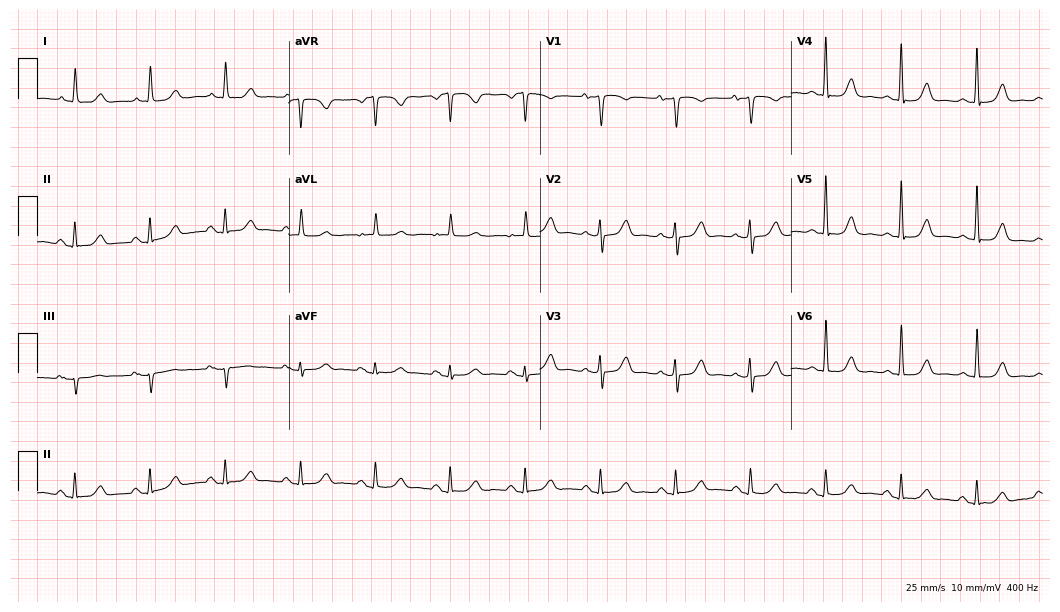
ECG (10.2-second recording at 400 Hz) — a 78-year-old female patient. Screened for six findings — first-degree AV block, right bundle branch block, left bundle branch block, sinus bradycardia, atrial fibrillation, sinus tachycardia — none is recorded.